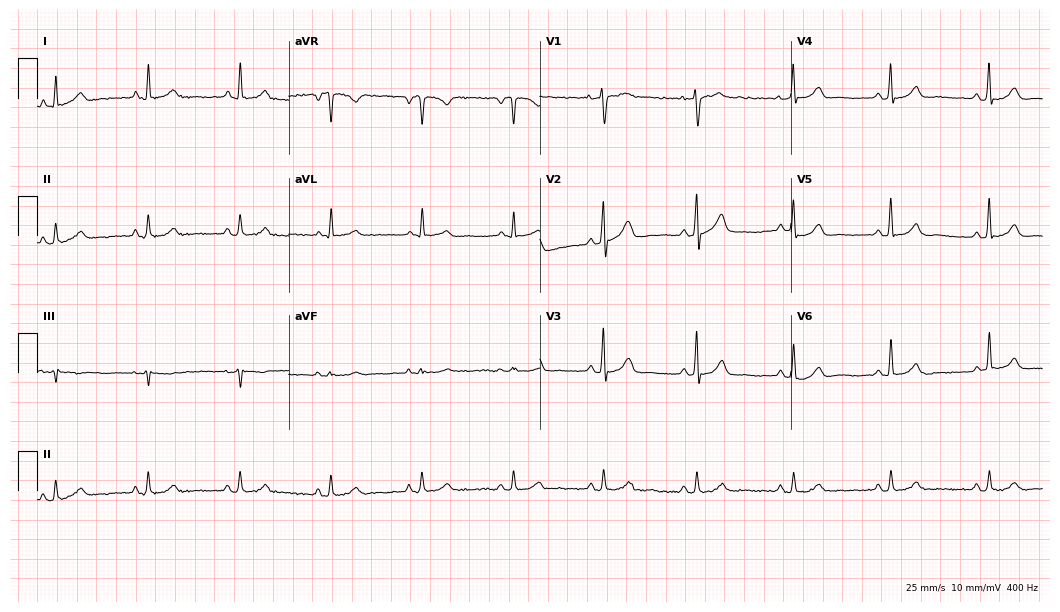
Standard 12-lead ECG recorded from a 66-year-old male (10.2-second recording at 400 Hz). Read as a normal ECG.